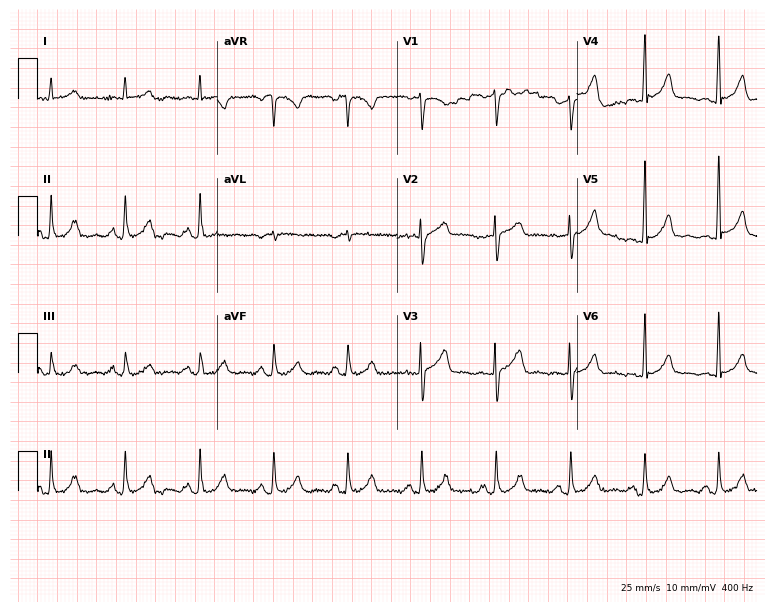
ECG — a male, 66 years old. Screened for six findings — first-degree AV block, right bundle branch block (RBBB), left bundle branch block (LBBB), sinus bradycardia, atrial fibrillation (AF), sinus tachycardia — none is recorded.